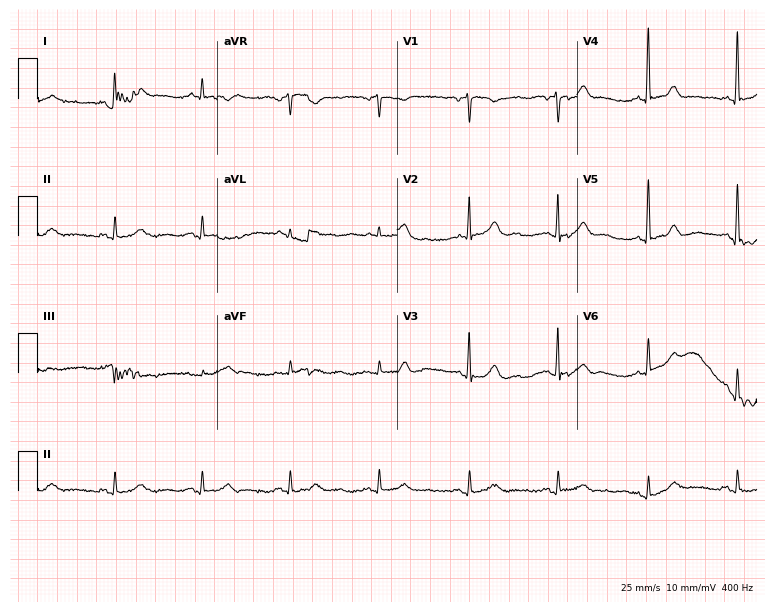
12-lead ECG from an 83-year-old male patient (7.3-second recording at 400 Hz). No first-degree AV block, right bundle branch block, left bundle branch block, sinus bradycardia, atrial fibrillation or sinus tachycardia recorded for this tracing.